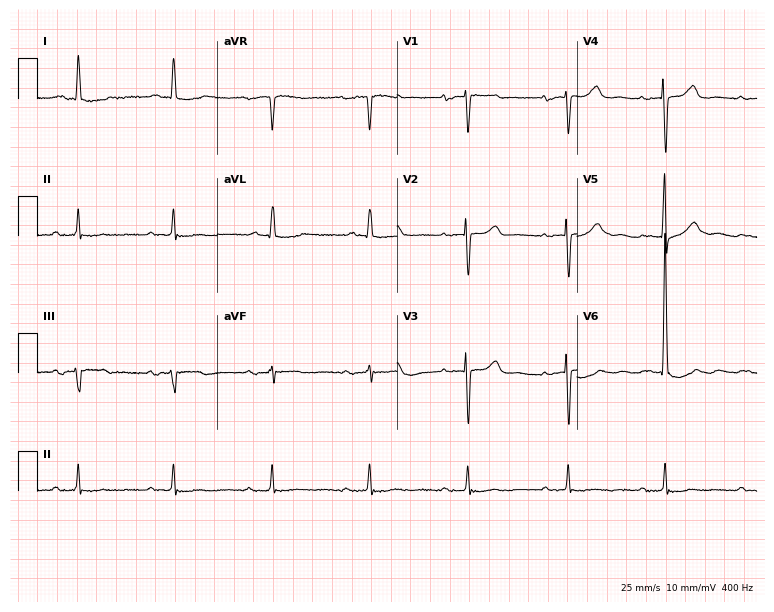
ECG (7.3-second recording at 400 Hz) — a woman, 74 years old. Findings include first-degree AV block.